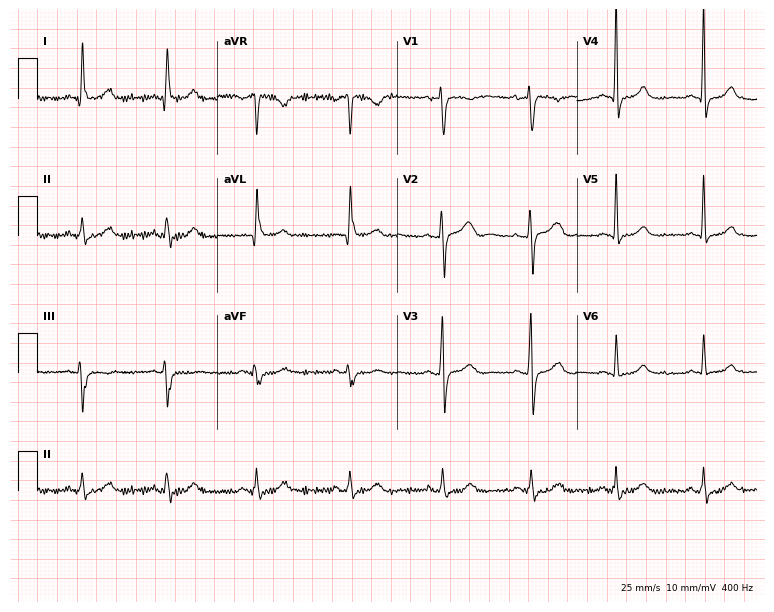
Electrocardiogram (7.3-second recording at 400 Hz), a 33-year-old female. Of the six screened findings (first-degree AV block, right bundle branch block, left bundle branch block, sinus bradycardia, atrial fibrillation, sinus tachycardia), none is recorded. Only these six findings were labelled.